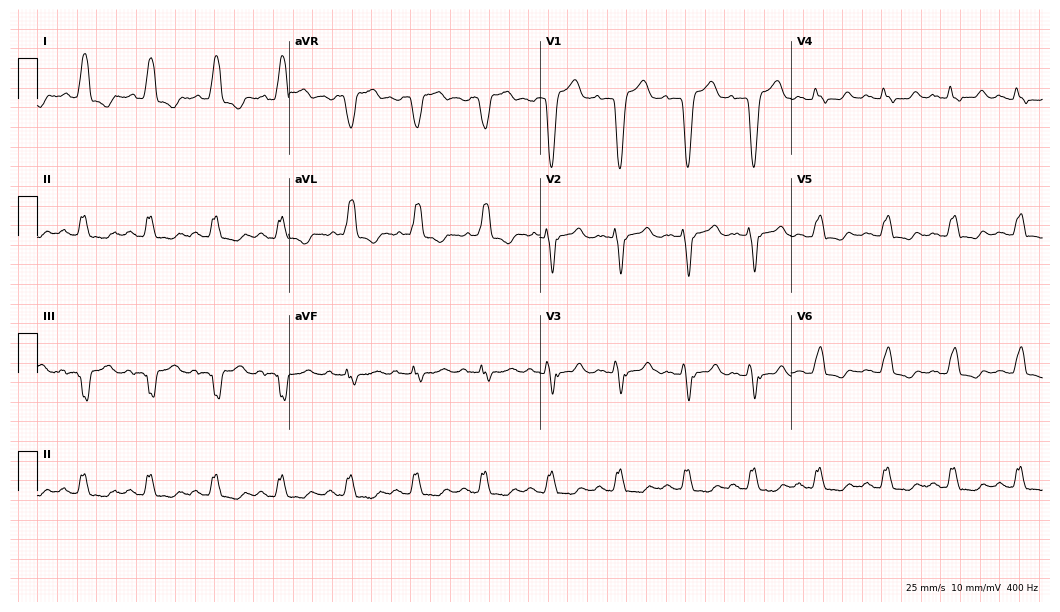
12-lead ECG from a female, 65 years old (10.2-second recording at 400 Hz). Shows left bundle branch block (LBBB).